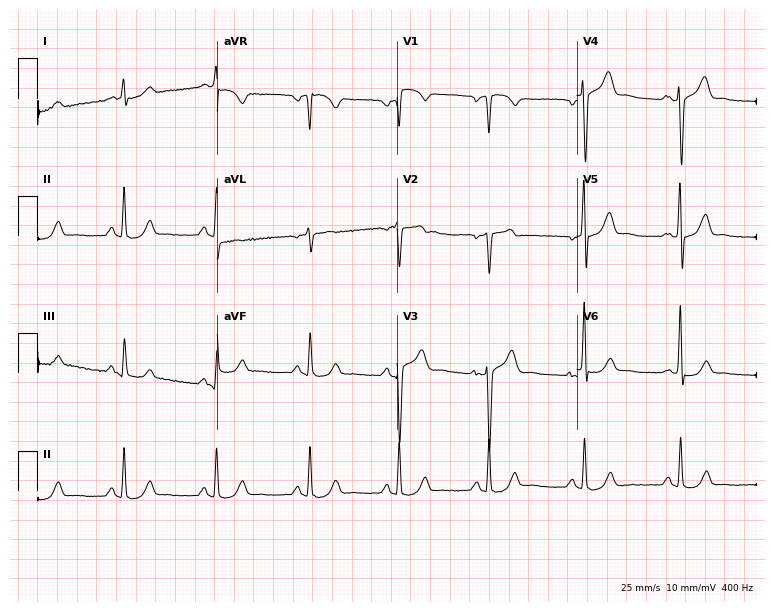
12-lead ECG (7.3-second recording at 400 Hz) from a 55-year-old man. Screened for six findings — first-degree AV block, right bundle branch block, left bundle branch block, sinus bradycardia, atrial fibrillation, sinus tachycardia — none is recorded.